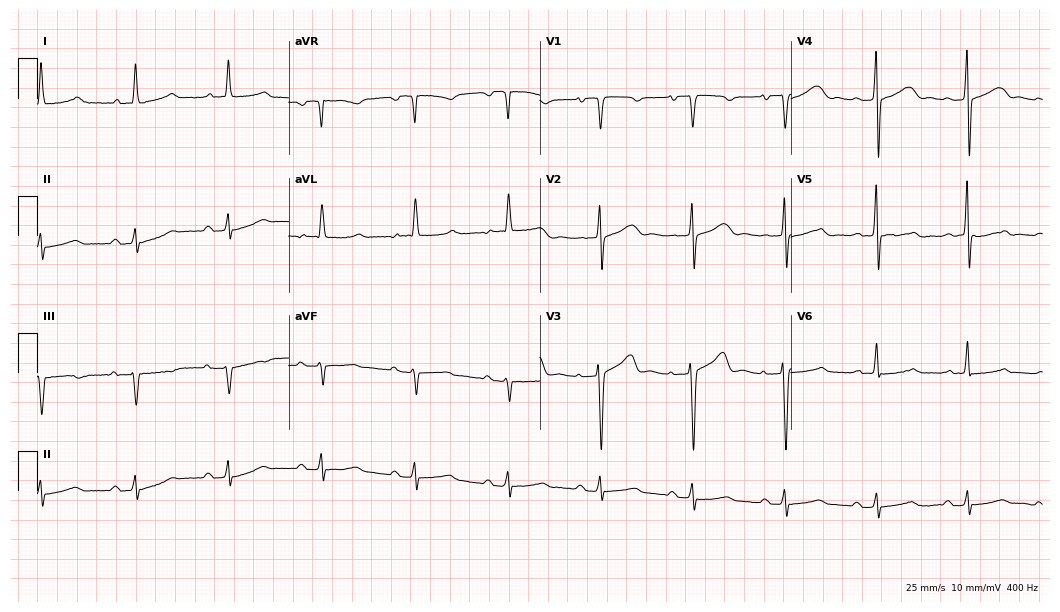
Resting 12-lead electrocardiogram (10.2-second recording at 400 Hz). Patient: a male, 64 years old. None of these six findings is recorded: first-degree AV block, right bundle branch block, left bundle branch block, sinus bradycardia, atrial fibrillation, sinus tachycardia. Findings outside these six are not listed.